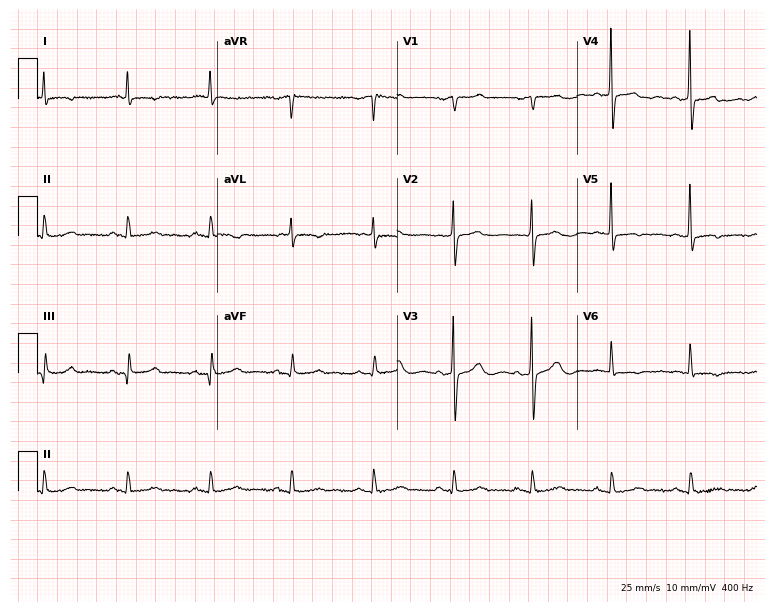
12-lead ECG from an 85-year-old female. Screened for six findings — first-degree AV block, right bundle branch block, left bundle branch block, sinus bradycardia, atrial fibrillation, sinus tachycardia — none is recorded.